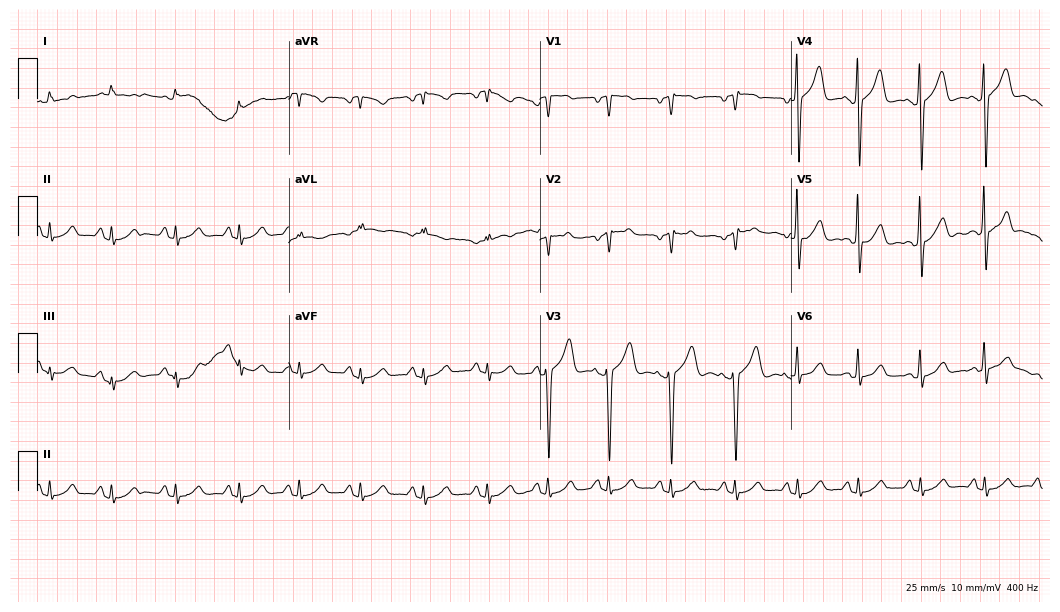
Electrocardiogram, a female patient, 77 years old. Of the six screened findings (first-degree AV block, right bundle branch block (RBBB), left bundle branch block (LBBB), sinus bradycardia, atrial fibrillation (AF), sinus tachycardia), none is recorded.